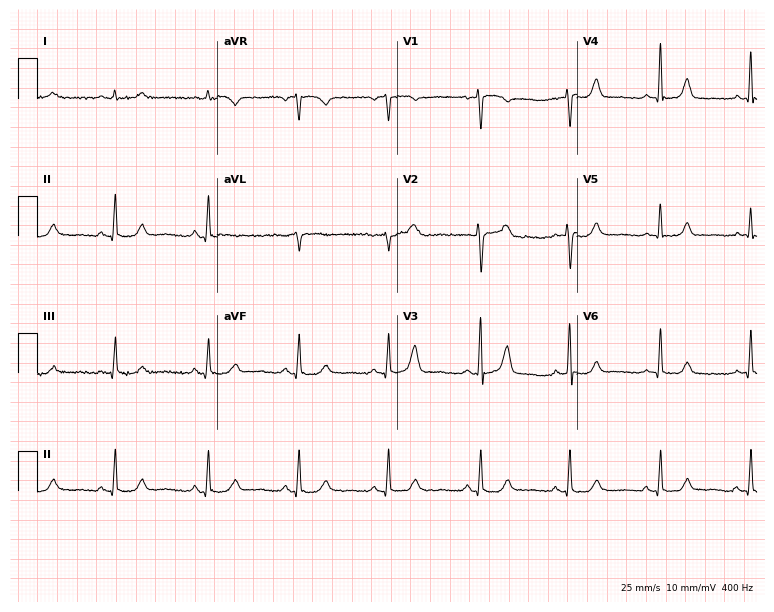
ECG (7.3-second recording at 400 Hz) — a female patient, 50 years old. Screened for six findings — first-degree AV block, right bundle branch block, left bundle branch block, sinus bradycardia, atrial fibrillation, sinus tachycardia — none is recorded. Findings outside these six are not listed.